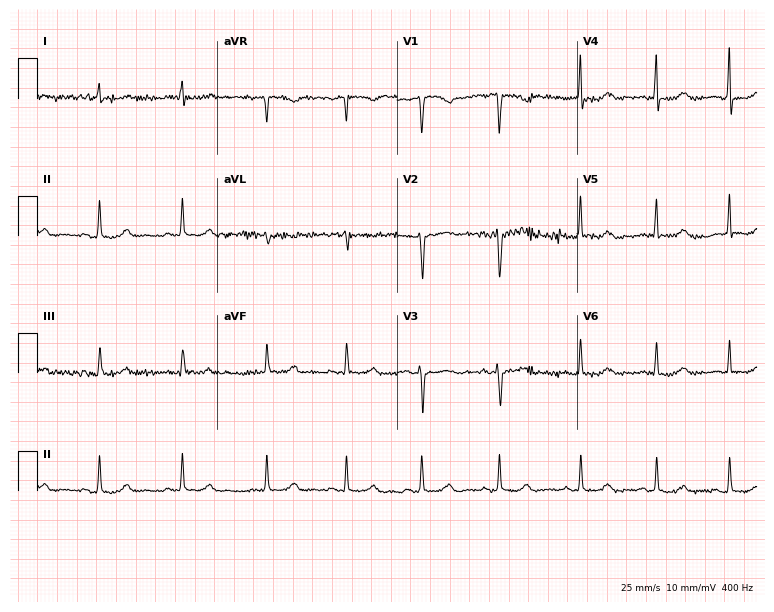
12-lead ECG from a woman, 36 years old. Screened for six findings — first-degree AV block, right bundle branch block, left bundle branch block, sinus bradycardia, atrial fibrillation, sinus tachycardia — none is recorded.